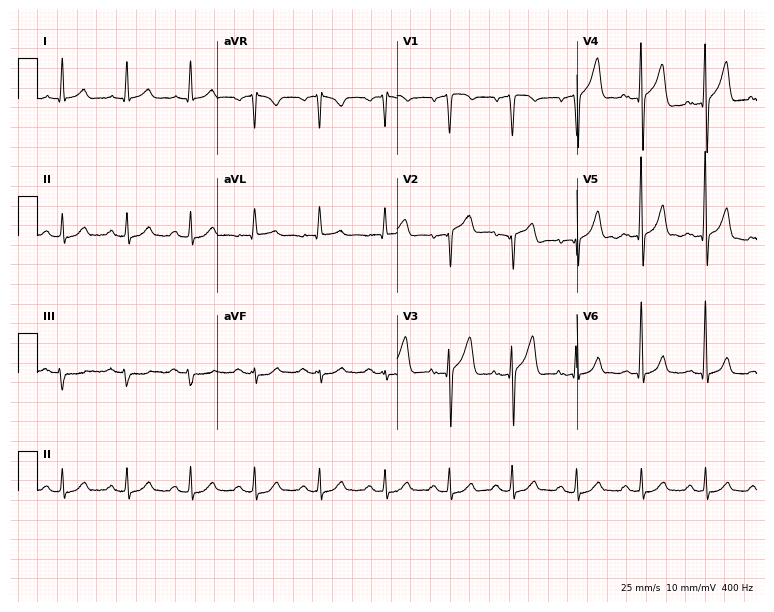
12-lead ECG from a male, 63 years old. No first-degree AV block, right bundle branch block, left bundle branch block, sinus bradycardia, atrial fibrillation or sinus tachycardia recorded for this tracing. Findings outside these six are not listed.